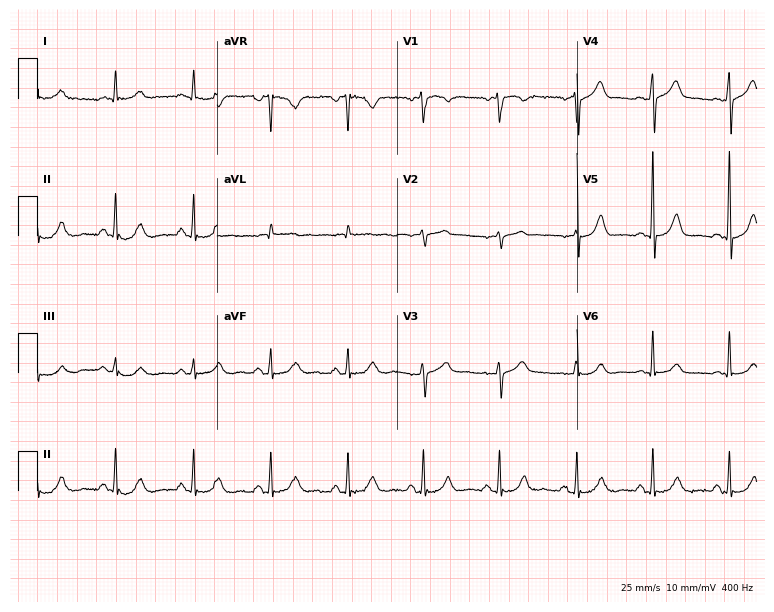
12-lead ECG from a male, 67 years old (7.3-second recording at 400 Hz). No first-degree AV block, right bundle branch block, left bundle branch block, sinus bradycardia, atrial fibrillation or sinus tachycardia recorded for this tracing.